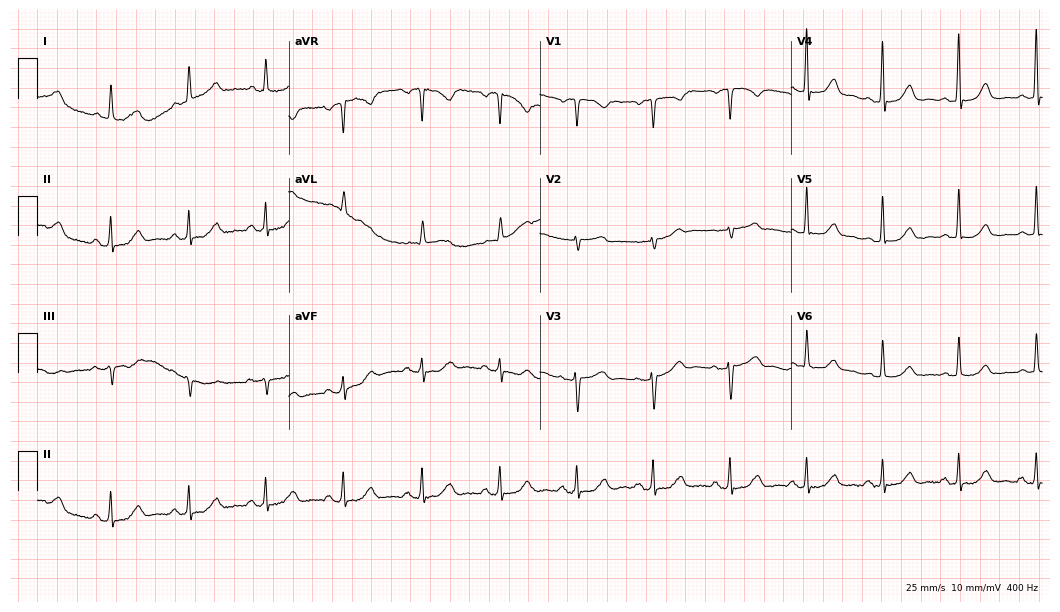
ECG — an 80-year-old woman. Labelled as a normal ECG.